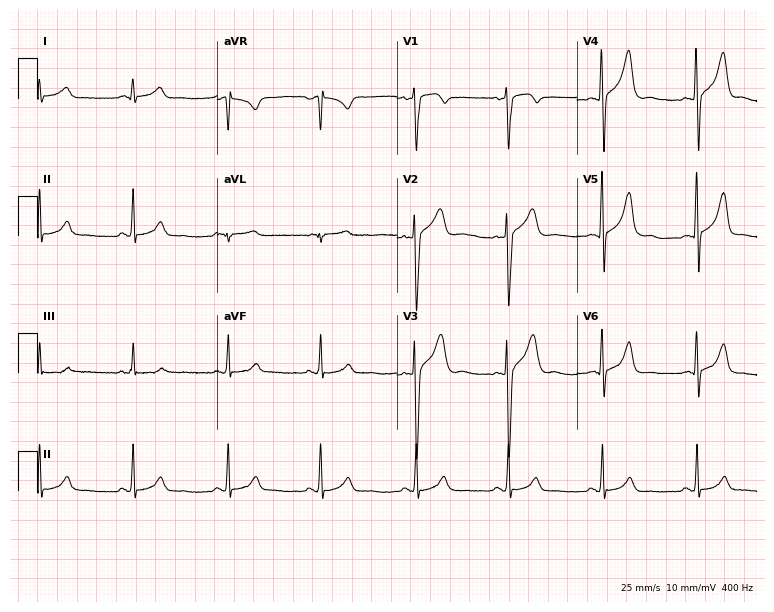
Electrocardiogram (7.3-second recording at 400 Hz), a male patient, 43 years old. Overall reading on record: normal ECG.